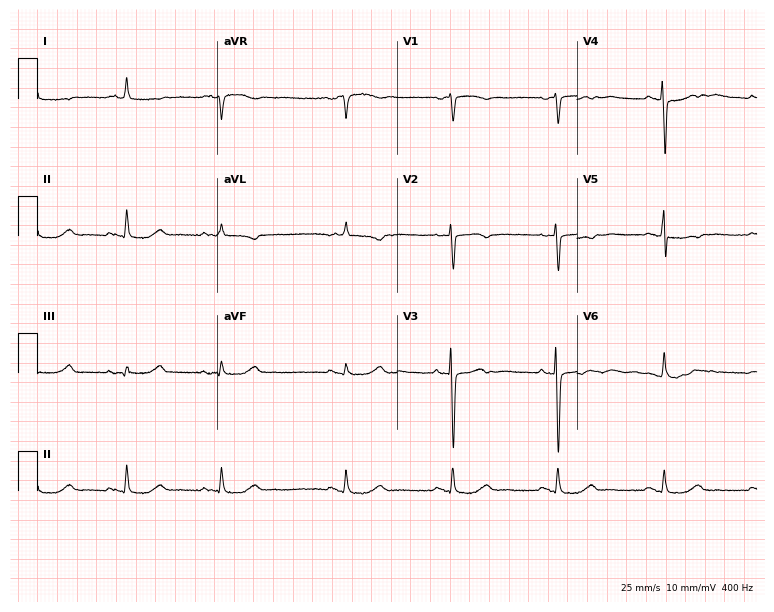
Resting 12-lead electrocardiogram. Patient: an 80-year-old female. None of these six findings is recorded: first-degree AV block, right bundle branch block, left bundle branch block, sinus bradycardia, atrial fibrillation, sinus tachycardia.